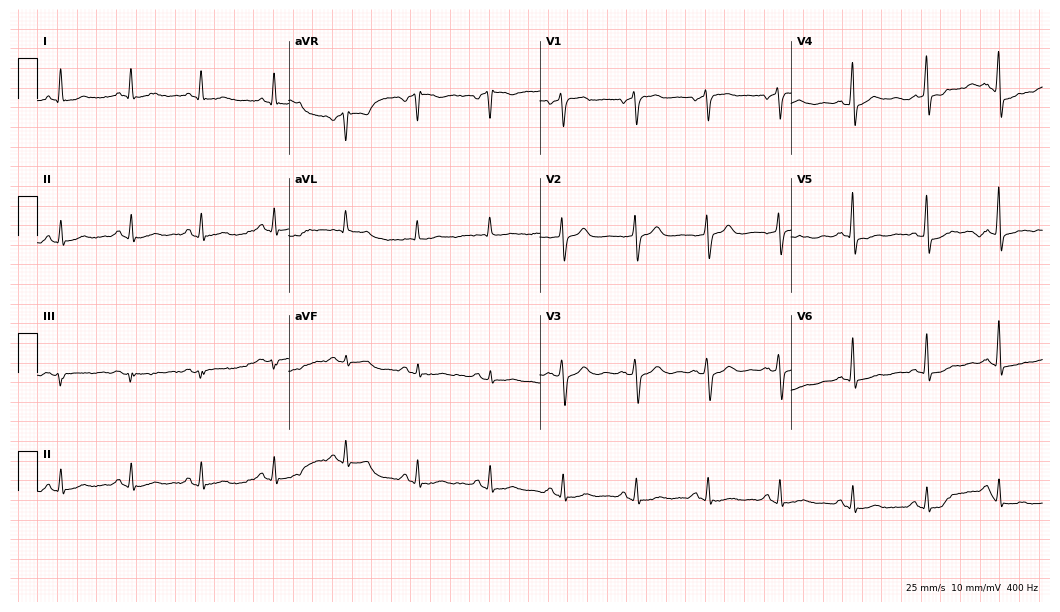
Electrocardiogram, a 71-year-old man. Of the six screened findings (first-degree AV block, right bundle branch block (RBBB), left bundle branch block (LBBB), sinus bradycardia, atrial fibrillation (AF), sinus tachycardia), none is recorded. Only these six findings were labelled.